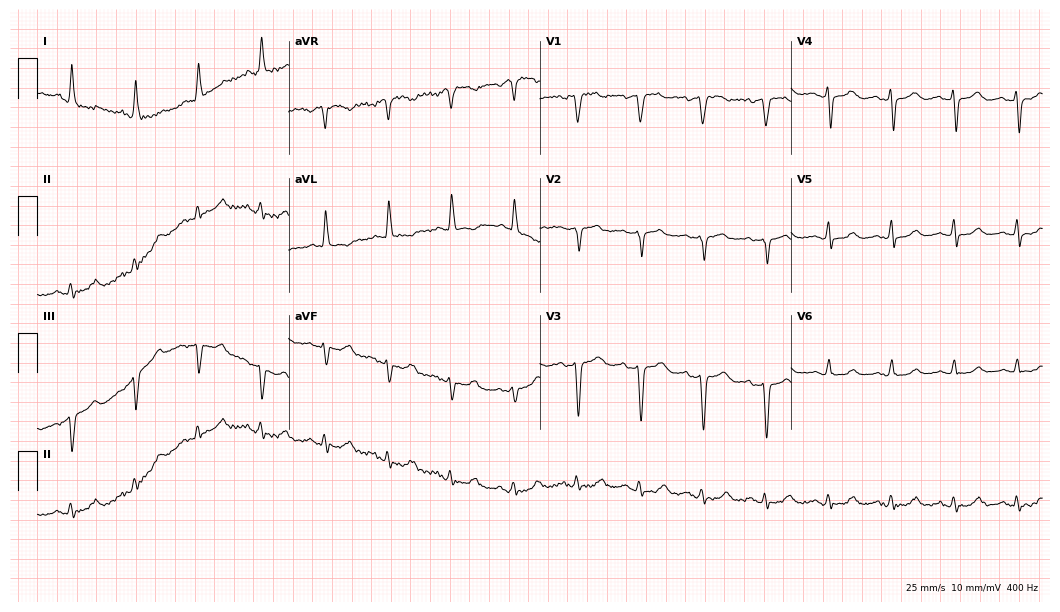
ECG (10.2-second recording at 400 Hz) — a 78-year-old female patient. Screened for six findings — first-degree AV block, right bundle branch block (RBBB), left bundle branch block (LBBB), sinus bradycardia, atrial fibrillation (AF), sinus tachycardia — none is recorded. Findings outside these six are not listed.